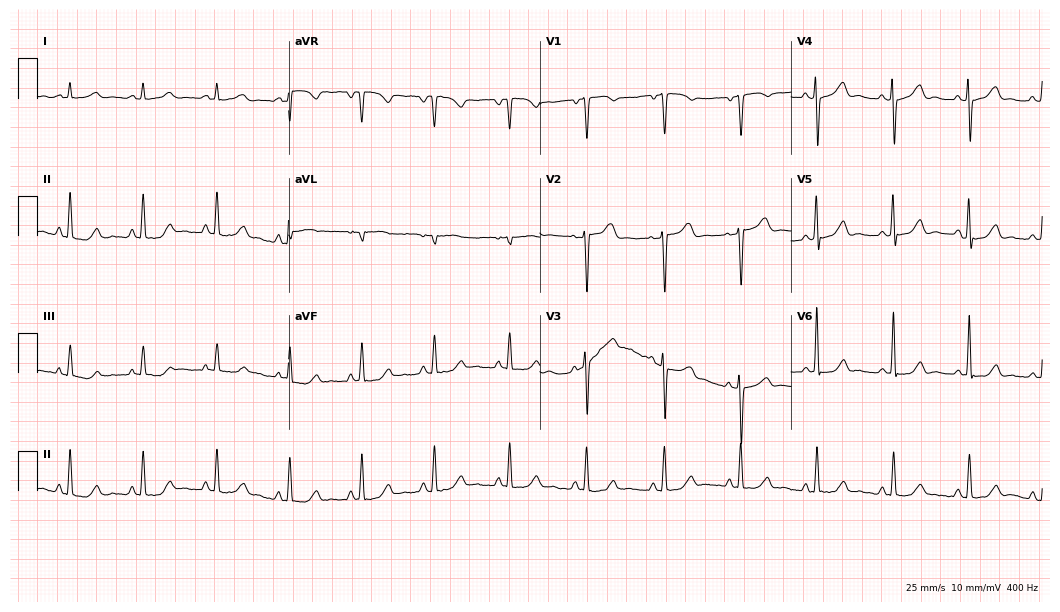
Electrocardiogram, a 44-year-old female patient. Overall reading on record: normal ECG.